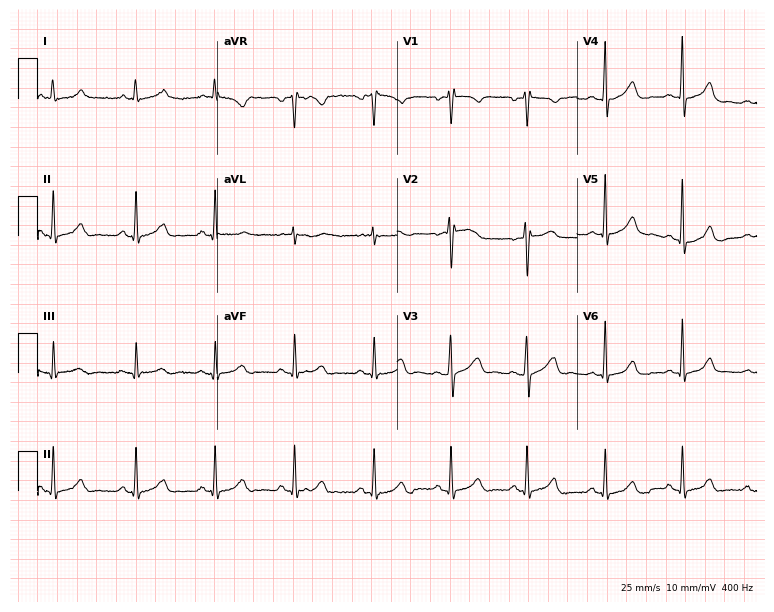
12-lead ECG from a 37-year-old female patient (7.3-second recording at 400 Hz). No first-degree AV block, right bundle branch block, left bundle branch block, sinus bradycardia, atrial fibrillation or sinus tachycardia recorded for this tracing.